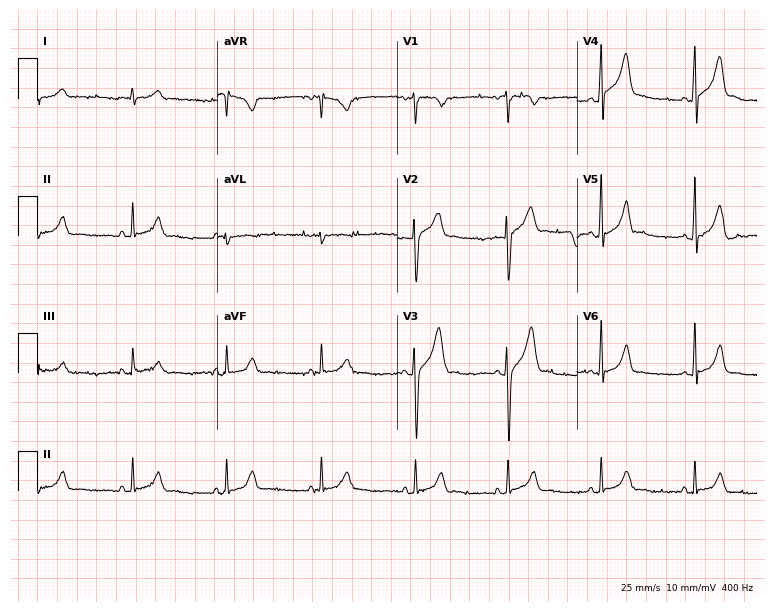
Standard 12-lead ECG recorded from a 24-year-old male patient. Read as a normal ECG.